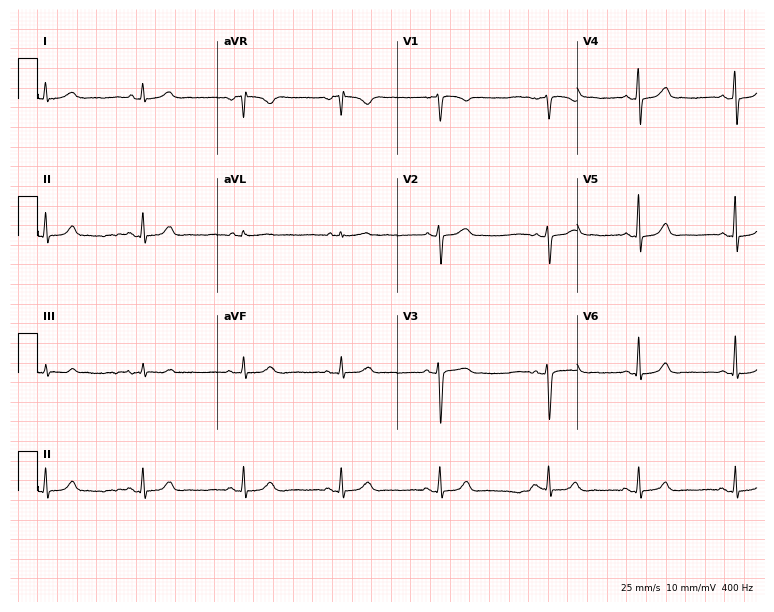
Resting 12-lead electrocardiogram (7.3-second recording at 400 Hz). Patient: a female, 27 years old. Read as a normal ECG.